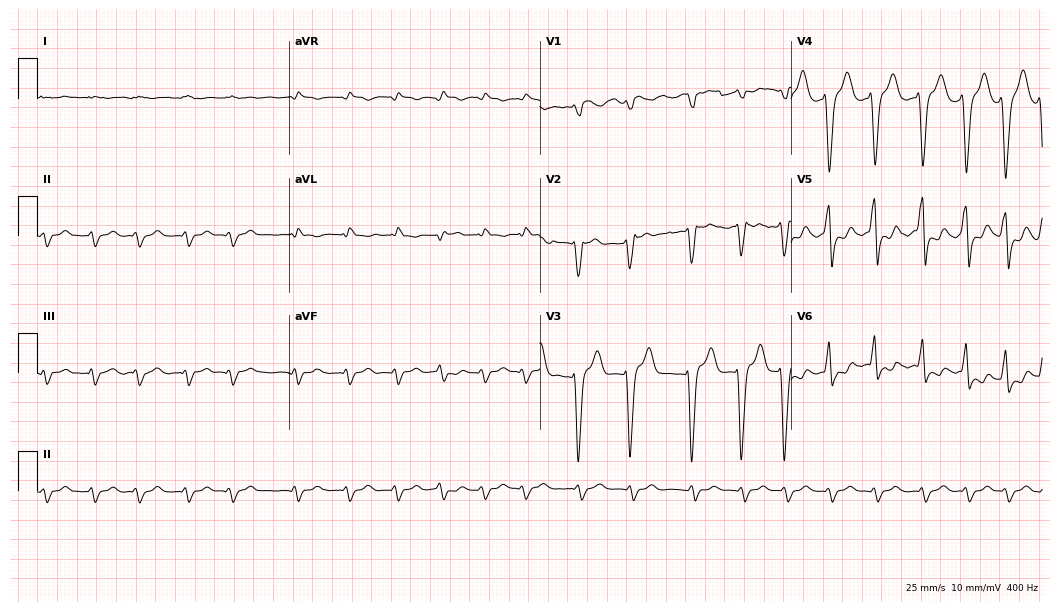
12-lead ECG from a 67-year-old man (10.2-second recording at 400 Hz). Shows right bundle branch block (RBBB), atrial fibrillation (AF).